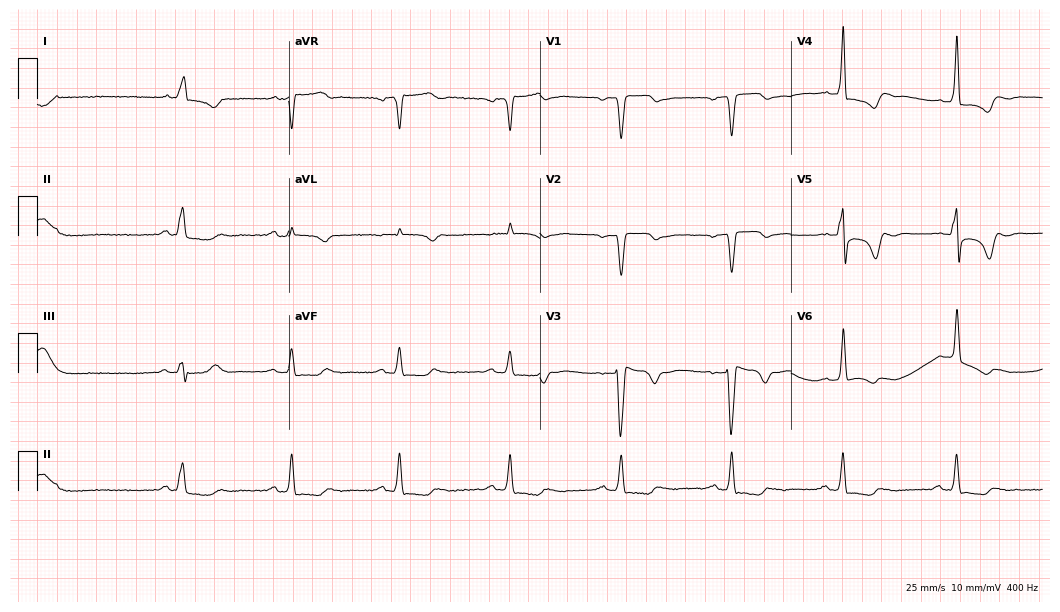
Resting 12-lead electrocardiogram (10.2-second recording at 400 Hz). Patient: a 77-year-old woman. None of these six findings is recorded: first-degree AV block, right bundle branch block, left bundle branch block, sinus bradycardia, atrial fibrillation, sinus tachycardia.